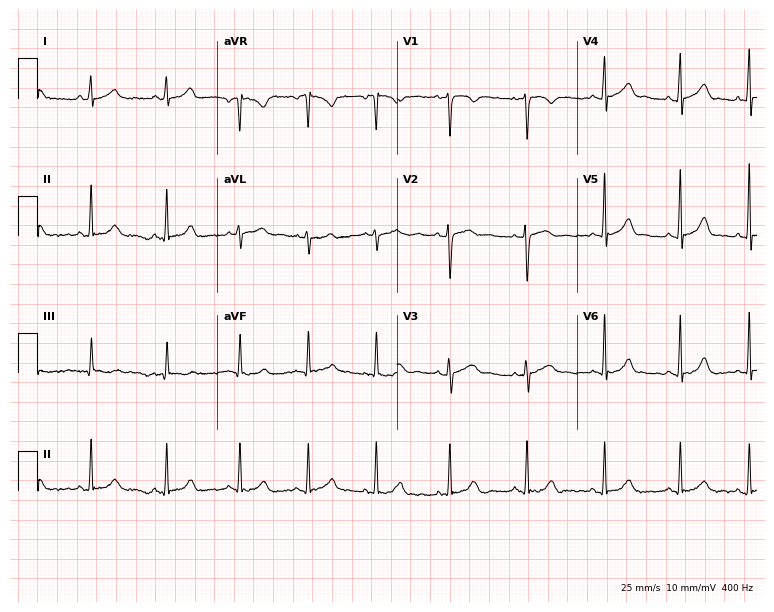
12-lead ECG (7.3-second recording at 400 Hz) from an 18-year-old woman. Labelled as a normal ECG.